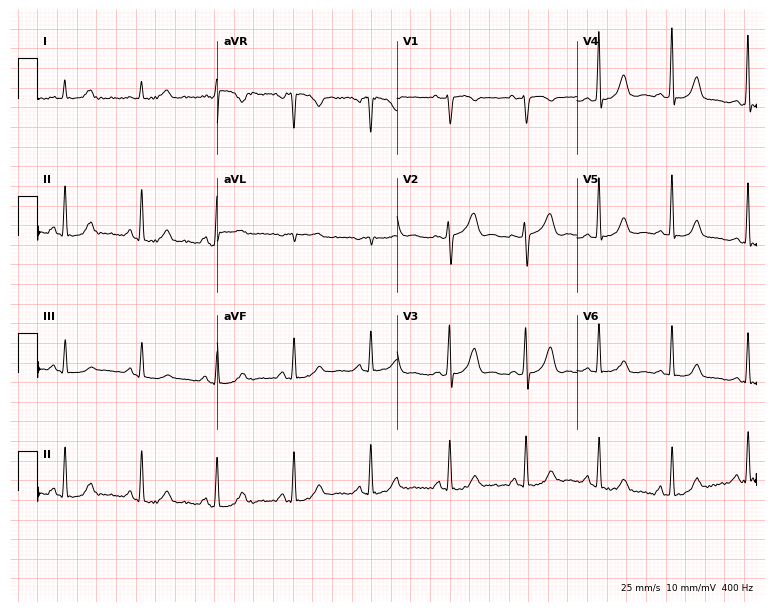
12-lead ECG from a female, 46 years old. Screened for six findings — first-degree AV block, right bundle branch block, left bundle branch block, sinus bradycardia, atrial fibrillation, sinus tachycardia — none is recorded. Findings outside these six are not listed.